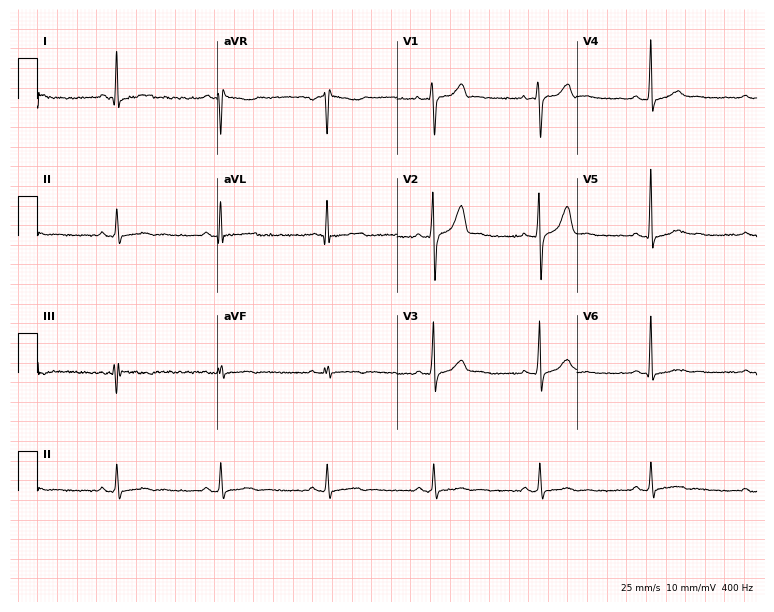
12-lead ECG from a 28-year-old man. Screened for six findings — first-degree AV block, right bundle branch block, left bundle branch block, sinus bradycardia, atrial fibrillation, sinus tachycardia — none is recorded. Only these six findings were labelled.